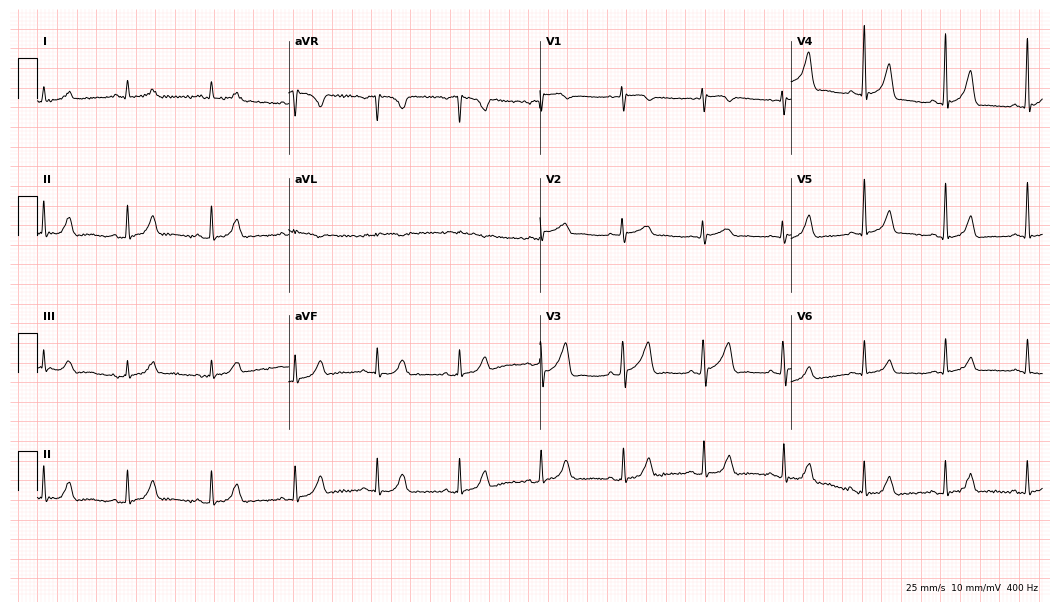
Electrocardiogram, a 69-year-old male. Of the six screened findings (first-degree AV block, right bundle branch block (RBBB), left bundle branch block (LBBB), sinus bradycardia, atrial fibrillation (AF), sinus tachycardia), none is recorded. Other findings, if any, are not listed.